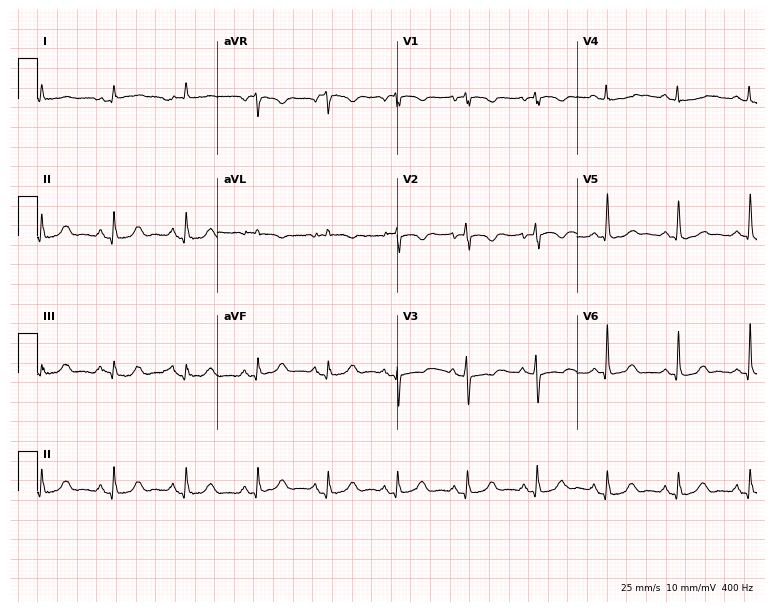
Standard 12-lead ECG recorded from an 81-year-old female patient (7.3-second recording at 400 Hz). None of these six findings is recorded: first-degree AV block, right bundle branch block (RBBB), left bundle branch block (LBBB), sinus bradycardia, atrial fibrillation (AF), sinus tachycardia.